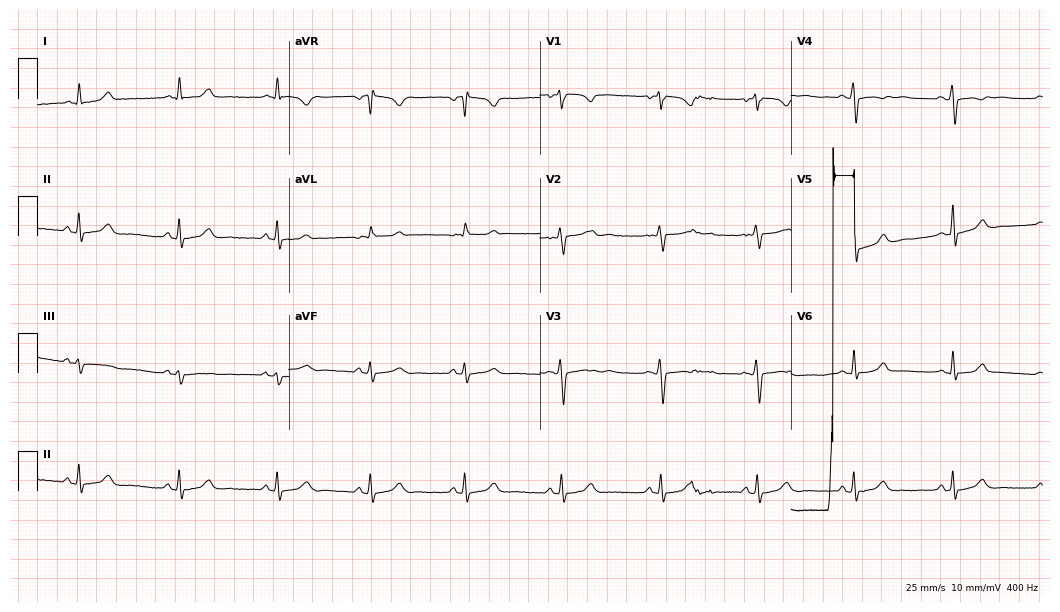
12-lead ECG from a 48-year-old female patient (10.2-second recording at 400 Hz). Recorded interpretation: within normal limits.